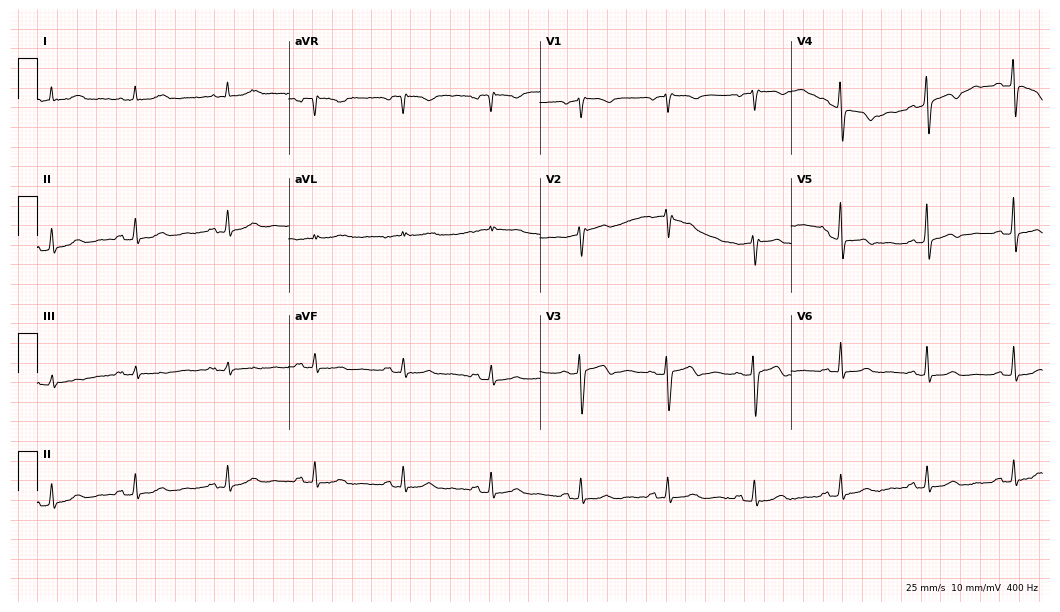
ECG — a 71-year-old woman. Screened for six findings — first-degree AV block, right bundle branch block, left bundle branch block, sinus bradycardia, atrial fibrillation, sinus tachycardia — none is recorded. Findings outside these six are not listed.